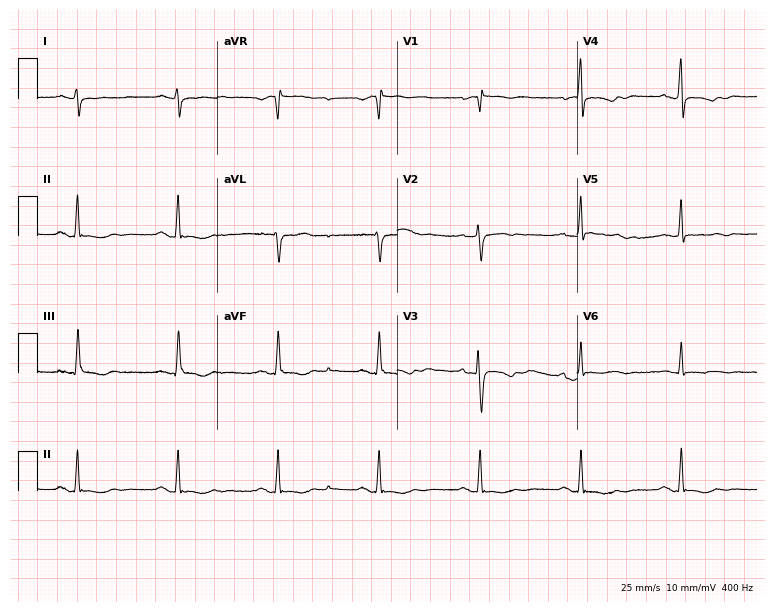
12-lead ECG from a 52-year-old female. Screened for six findings — first-degree AV block, right bundle branch block, left bundle branch block, sinus bradycardia, atrial fibrillation, sinus tachycardia — none is recorded.